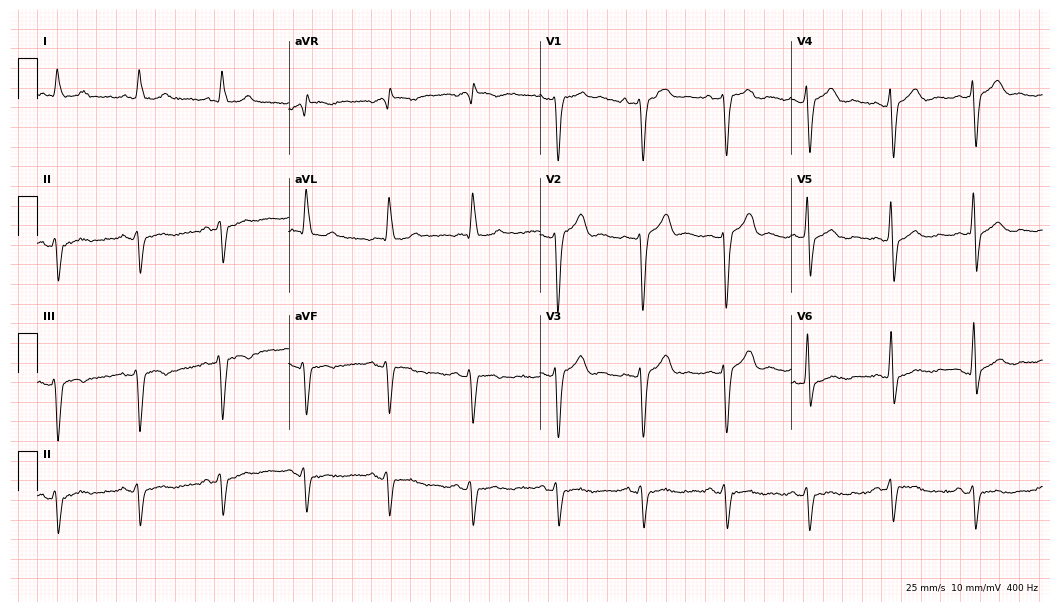
12-lead ECG from a 75-year-old male patient. Screened for six findings — first-degree AV block, right bundle branch block, left bundle branch block, sinus bradycardia, atrial fibrillation, sinus tachycardia — none is recorded. Other findings, if any, are not listed.